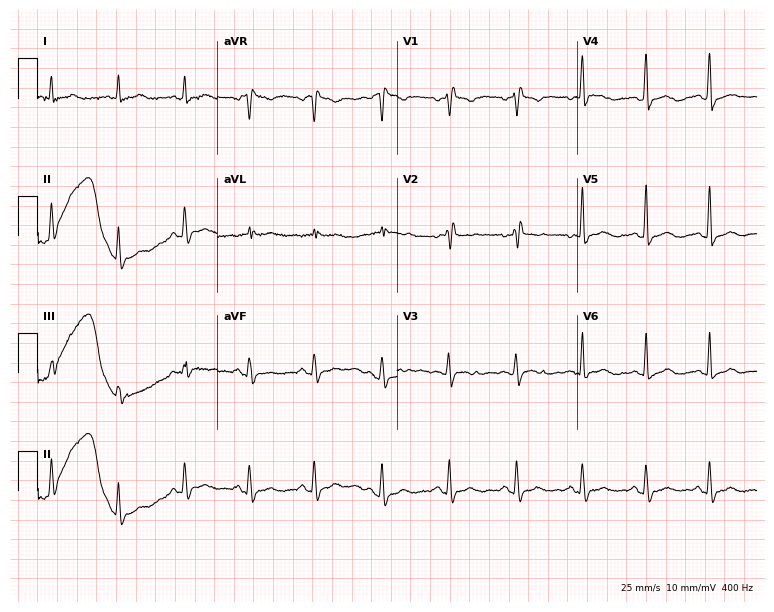
Electrocardiogram (7.3-second recording at 400 Hz), a female, 44 years old. Of the six screened findings (first-degree AV block, right bundle branch block (RBBB), left bundle branch block (LBBB), sinus bradycardia, atrial fibrillation (AF), sinus tachycardia), none is recorded.